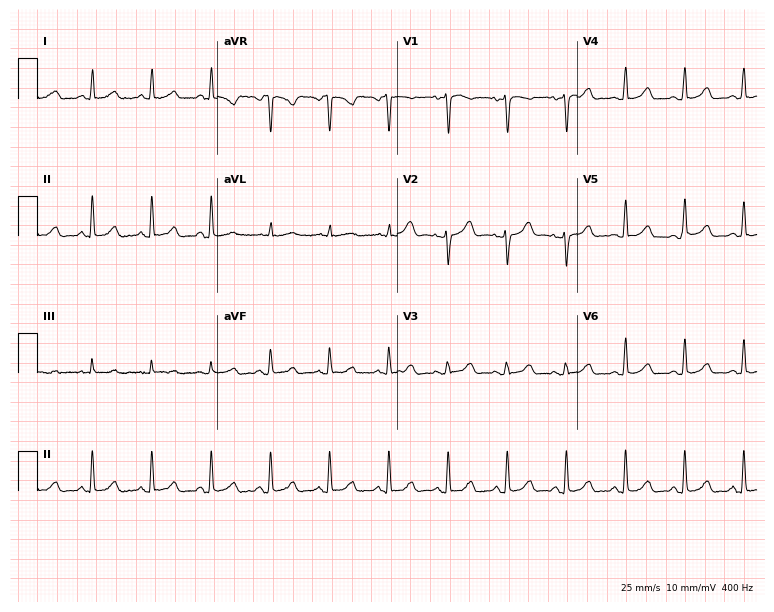
Electrocardiogram (7.3-second recording at 400 Hz), a 50-year-old female. Overall reading on record: normal ECG.